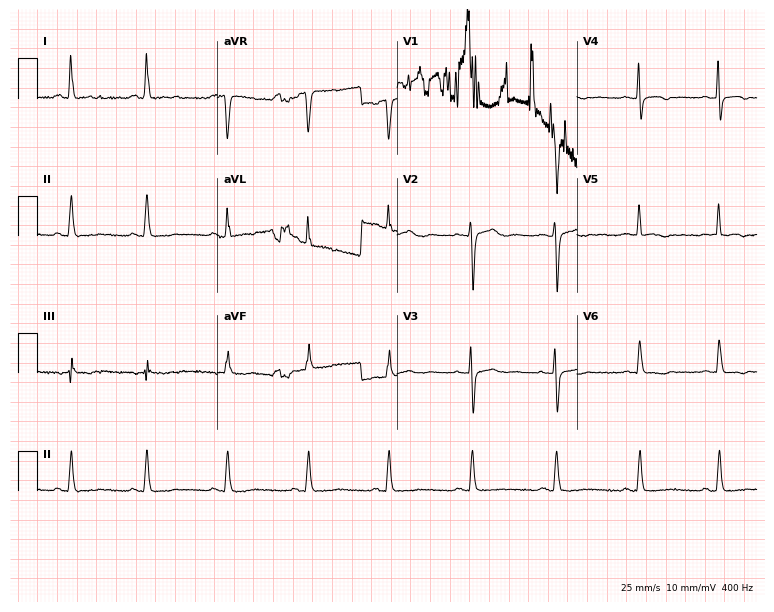
Resting 12-lead electrocardiogram (7.3-second recording at 400 Hz). Patient: a 48-year-old woman. None of these six findings is recorded: first-degree AV block, right bundle branch block, left bundle branch block, sinus bradycardia, atrial fibrillation, sinus tachycardia.